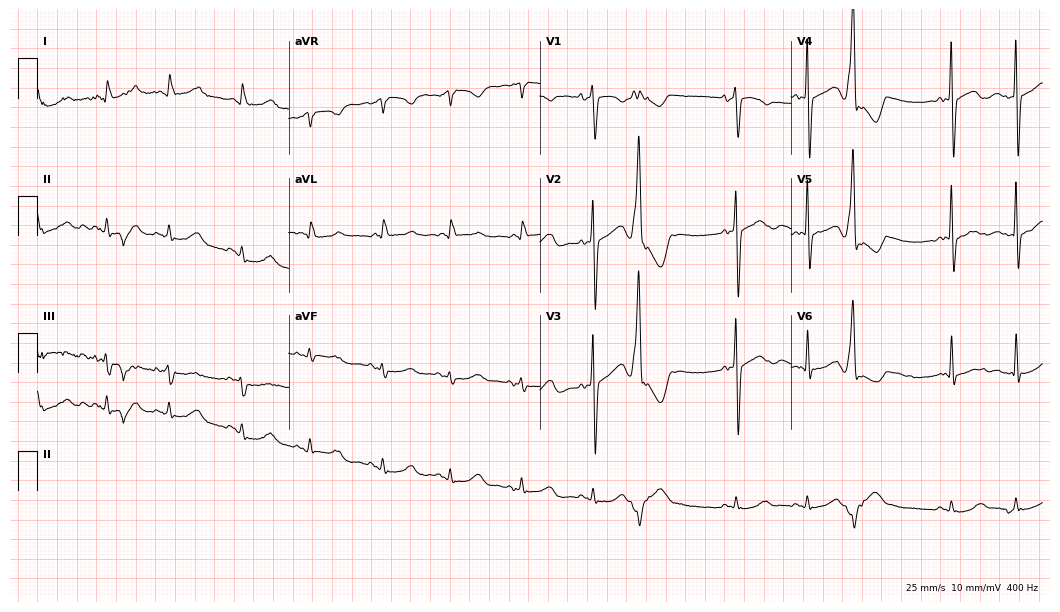
Standard 12-lead ECG recorded from an 85-year-old male (10.2-second recording at 400 Hz). Read as a normal ECG.